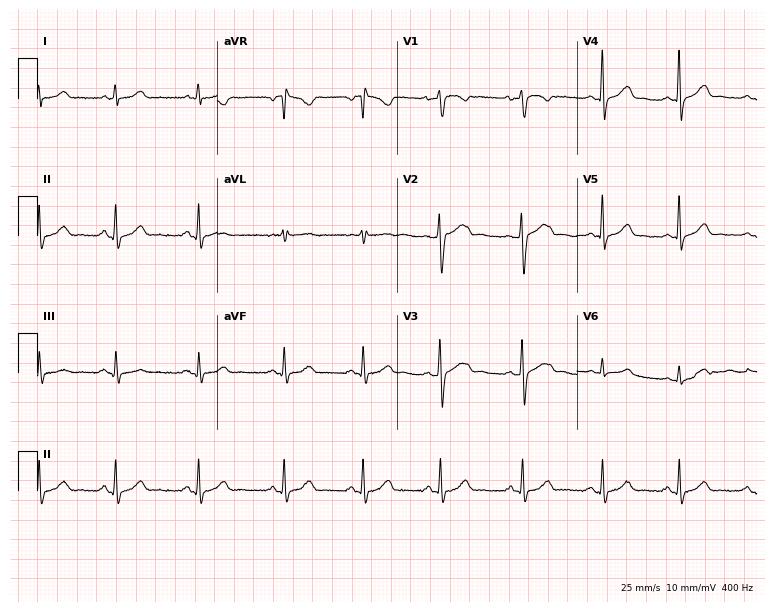
Electrocardiogram, a female, 37 years old. Overall reading on record: normal ECG.